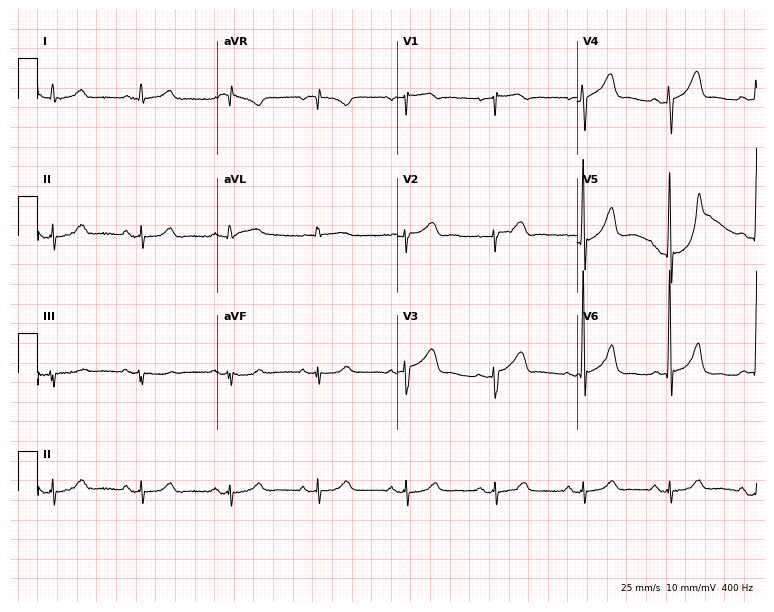
12-lead ECG from a 72-year-old female patient. Recorded interpretation: within normal limits.